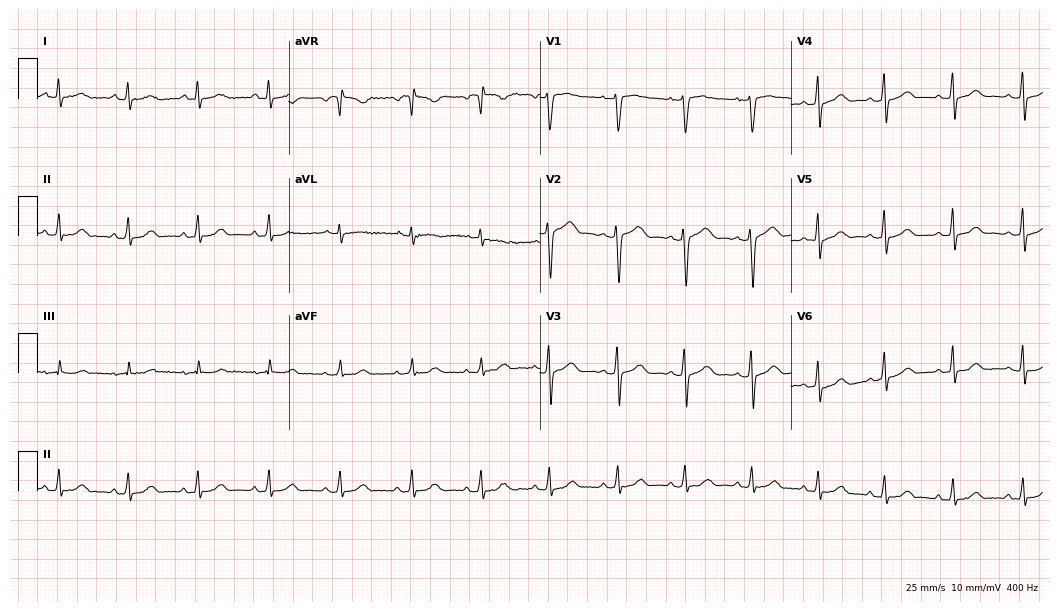
Standard 12-lead ECG recorded from a 33-year-old female (10.2-second recording at 400 Hz). Read as a normal ECG.